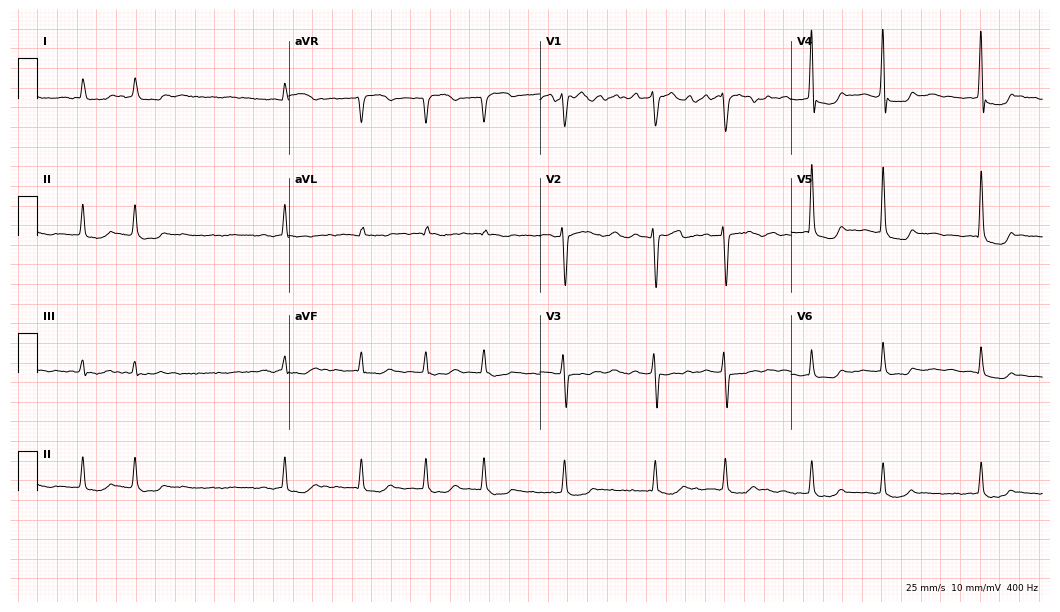
Electrocardiogram (10.2-second recording at 400 Hz), a female, 68 years old. Interpretation includes atrial fibrillation.